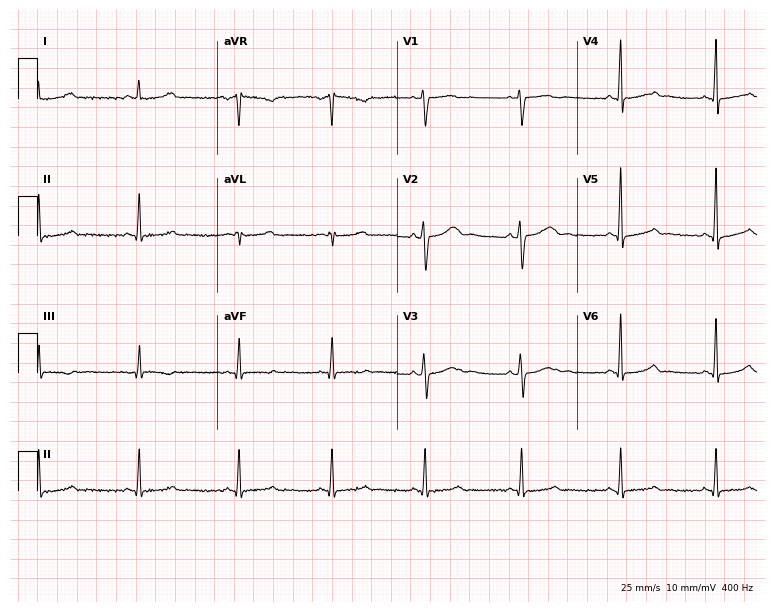
Electrocardiogram, a 42-year-old female. Of the six screened findings (first-degree AV block, right bundle branch block (RBBB), left bundle branch block (LBBB), sinus bradycardia, atrial fibrillation (AF), sinus tachycardia), none is recorded. Findings outside these six are not listed.